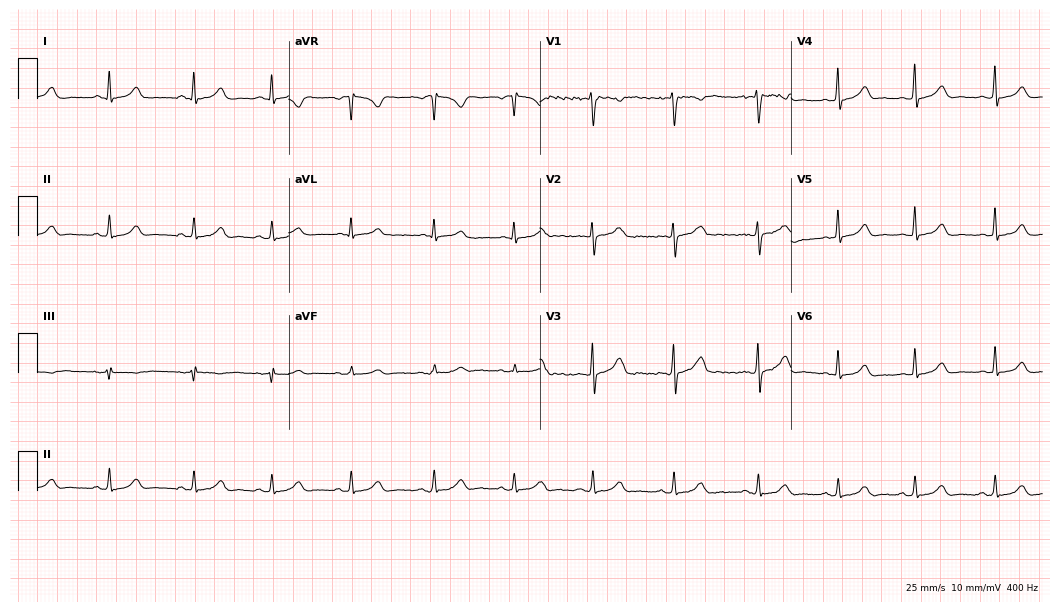
12-lead ECG (10.2-second recording at 400 Hz) from a 24-year-old female. Labelled as a normal ECG.